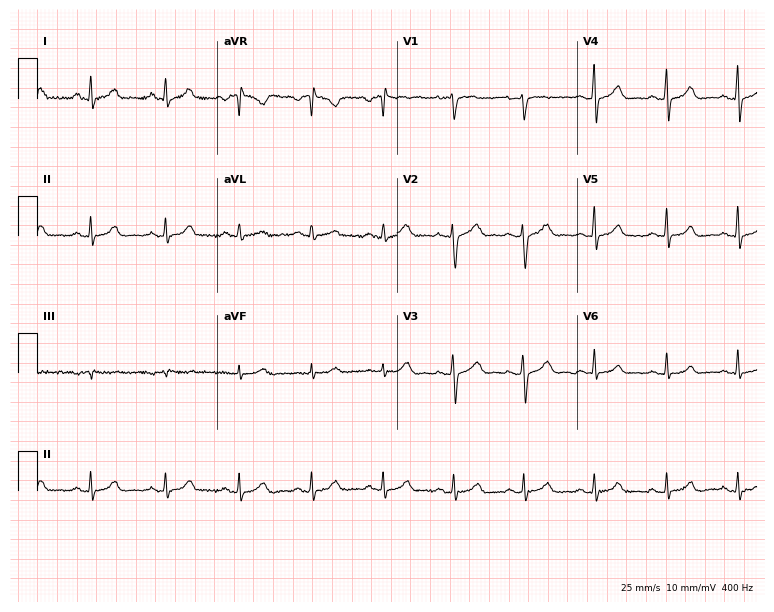
Resting 12-lead electrocardiogram (7.3-second recording at 400 Hz). Patient: a female, 34 years old. Read as a normal ECG.